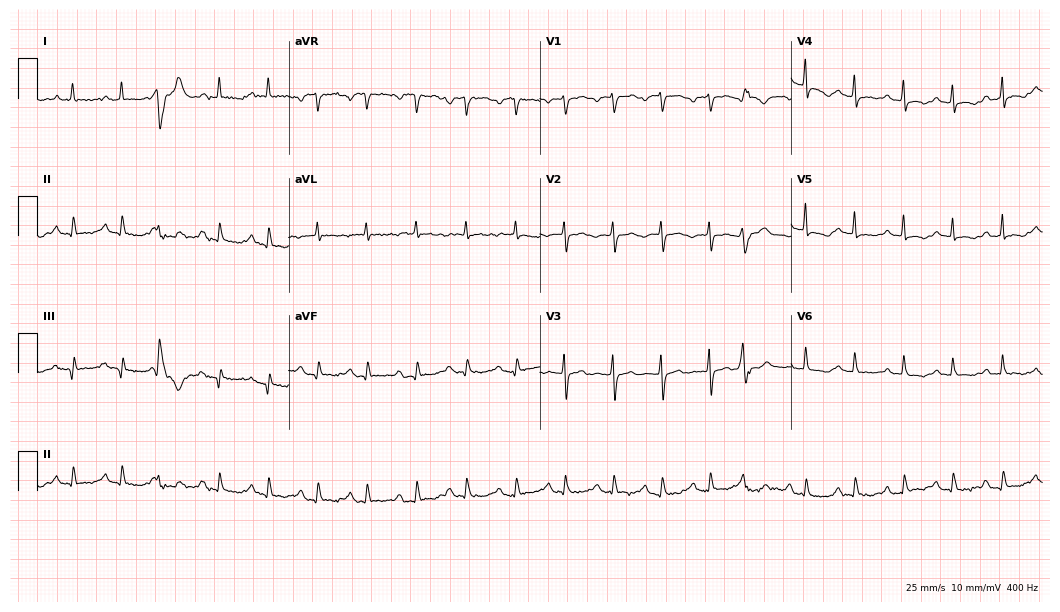
ECG (10.2-second recording at 400 Hz) — a 73-year-old female patient. Screened for six findings — first-degree AV block, right bundle branch block, left bundle branch block, sinus bradycardia, atrial fibrillation, sinus tachycardia — none is recorded. Findings outside these six are not listed.